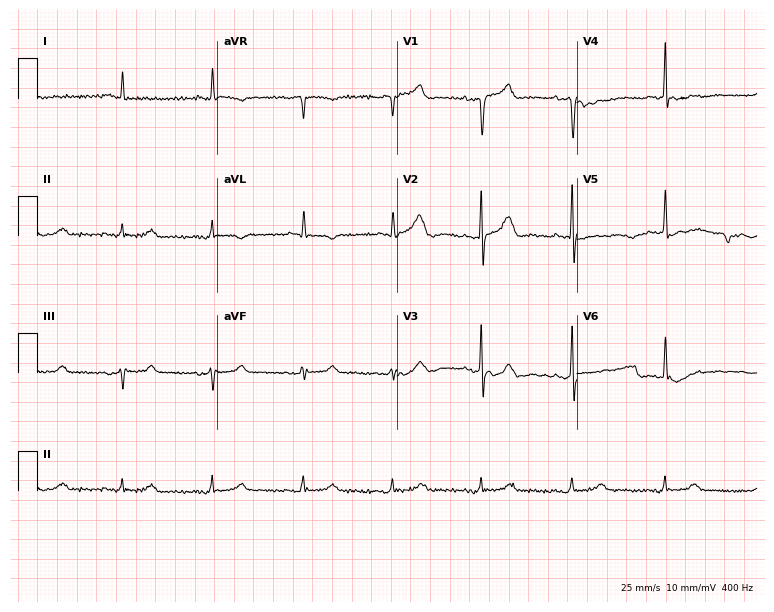
ECG — a 77-year-old male patient. Screened for six findings — first-degree AV block, right bundle branch block (RBBB), left bundle branch block (LBBB), sinus bradycardia, atrial fibrillation (AF), sinus tachycardia — none is recorded. Other findings, if any, are not listed.